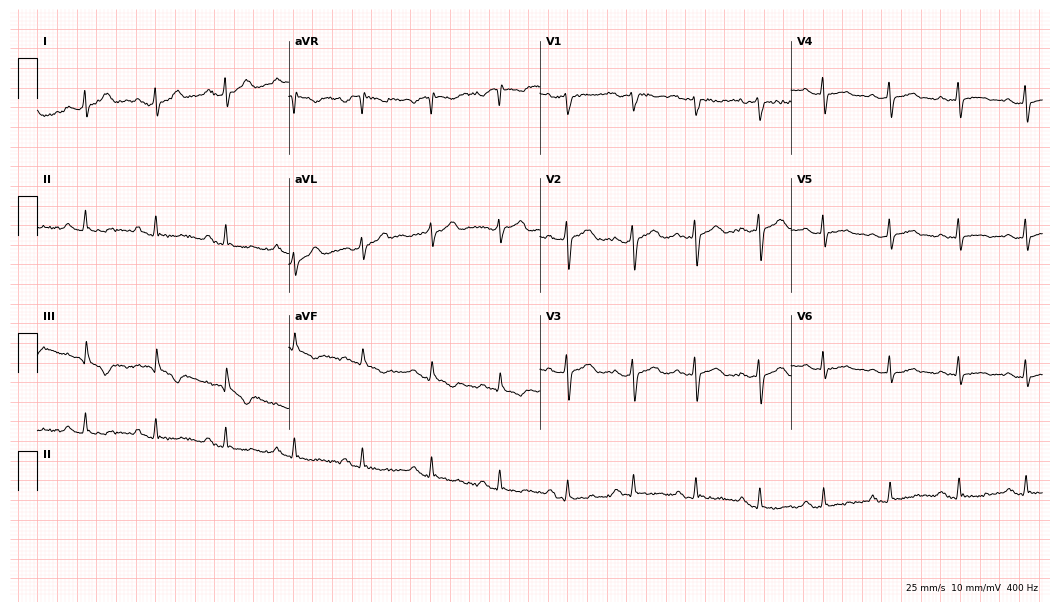
12-lead ECG (10.2-second recording at 400 Hz) from a 33-year-old woman. Screened for six findings — first-degree AV block, right bundle branch block, left bundle branch block, sinus bradycardia, atrial fibrillation, sinus tachycardia — none is recorded. Other findings, if any, are not listed.